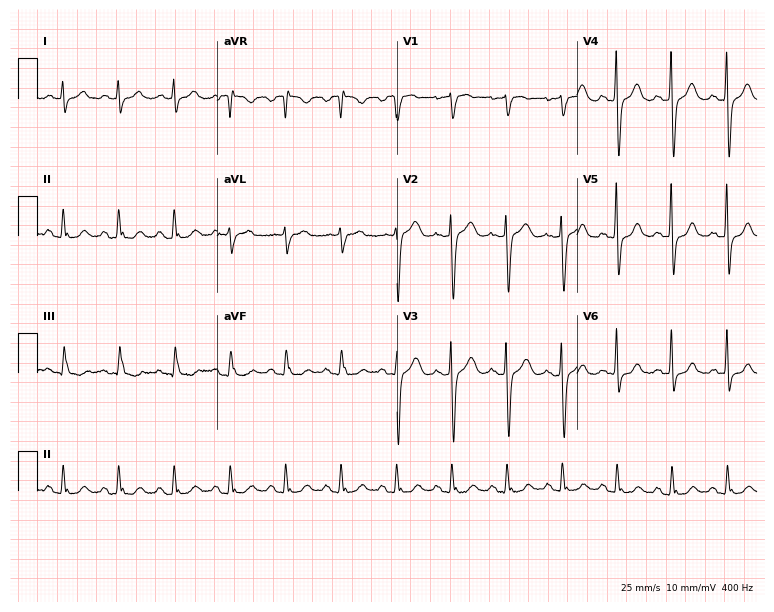
Standard 12-lead ECG recorded from a 63-year-old woman (7.3-second recording at 400 Hz). None of these six findings is recorded: first-degree AV block, right bundle branch block, left bundle branch block, sinus bradycardia, atrial fibrillation, sinus tachycardia. Findings outside these six are not listed.